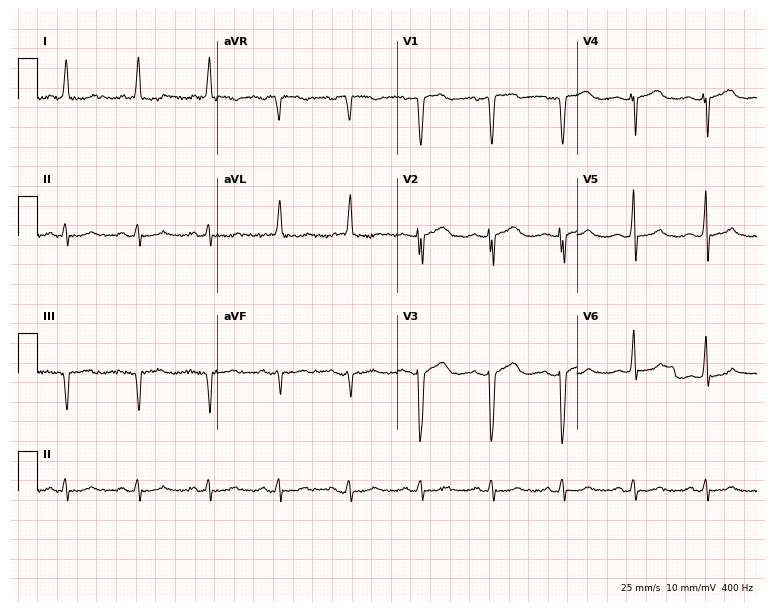
Standard 12-lead ECG recorded from a 70-year-old male patient (7.3-second recording at 400 Hz). None of these six findings is recorded: first-degree AV block, right bundle branch block, left bundle branch block, sinus bradycardia, atrial fibrillation, sinus tachycardia. Only these six findings were labelled.